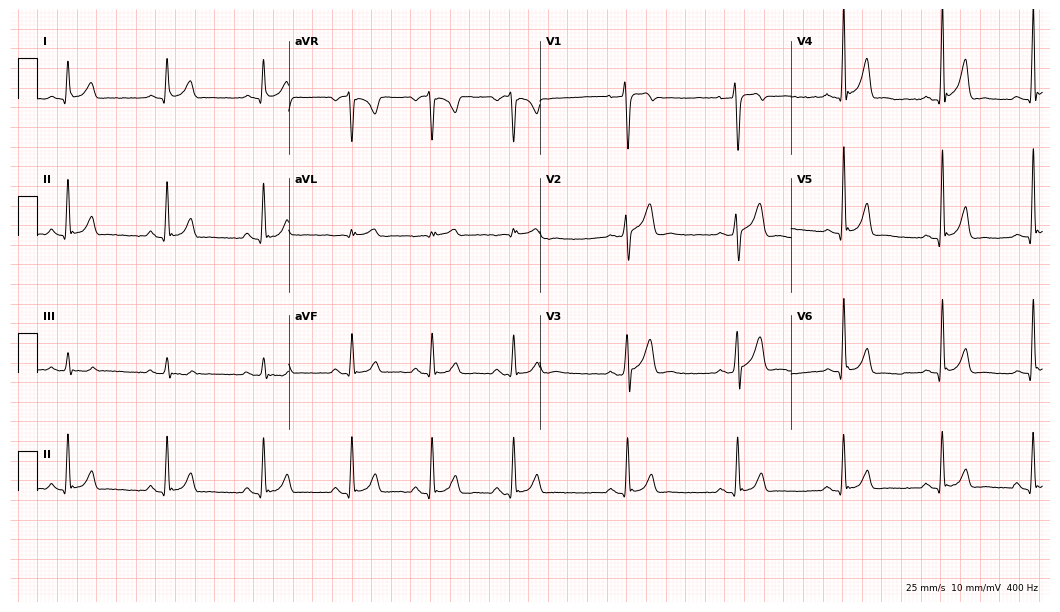
12-lead ECG from a 20-year-old male patient. No first-degree AV block, right bundle branch block (RBBB), left bundle branch block (LBBB), sinus bradycardia, atrial fibrillation (AF) or sinus tachycardia recorded for this tracing. Findings outside these six are not listed.